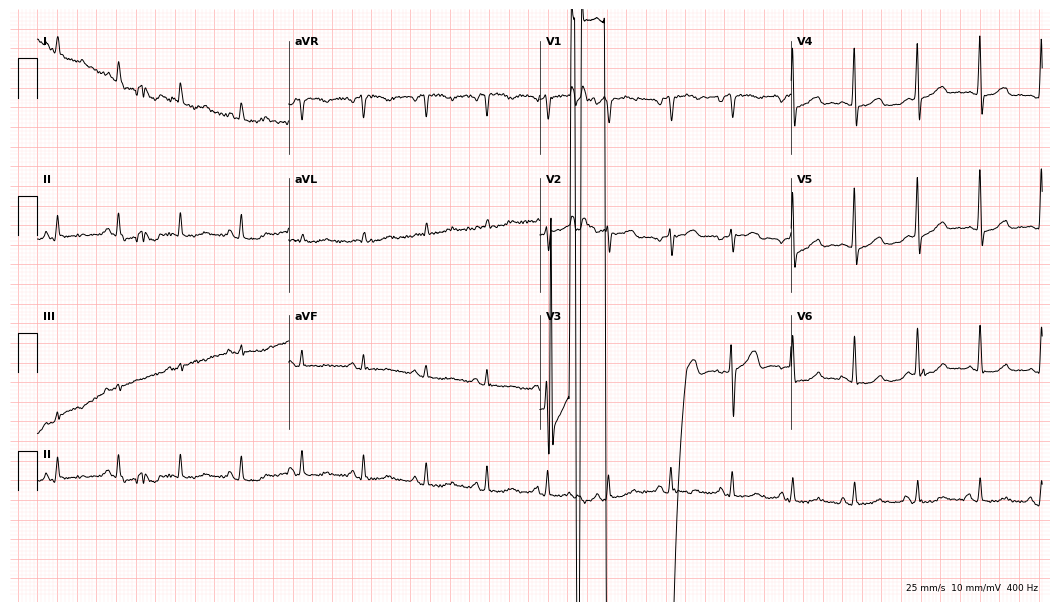
Resting 12-lead electrocardiogram (10.2-second recording at 400 Hz). Patient: a female, 81 years old. None of these six findings is recorded: first-degree AV block, right bundle branch block, left bundle branch block, sinus bradycardia, atrial fibrillation, sinus tachycardia. Only these six findings were labelled.